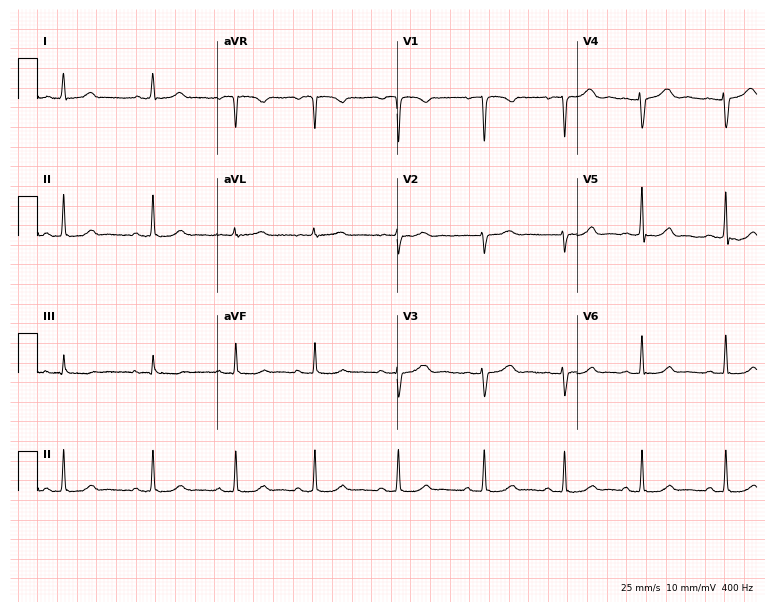
Electrocardiogram, a female, 23 years old. Of the six screened findings (first-degree AV block, right bundle branch block, left bundle branch block, sinus bradycardia, atrial fibrillation, sinus tachycardia), none is recorded.